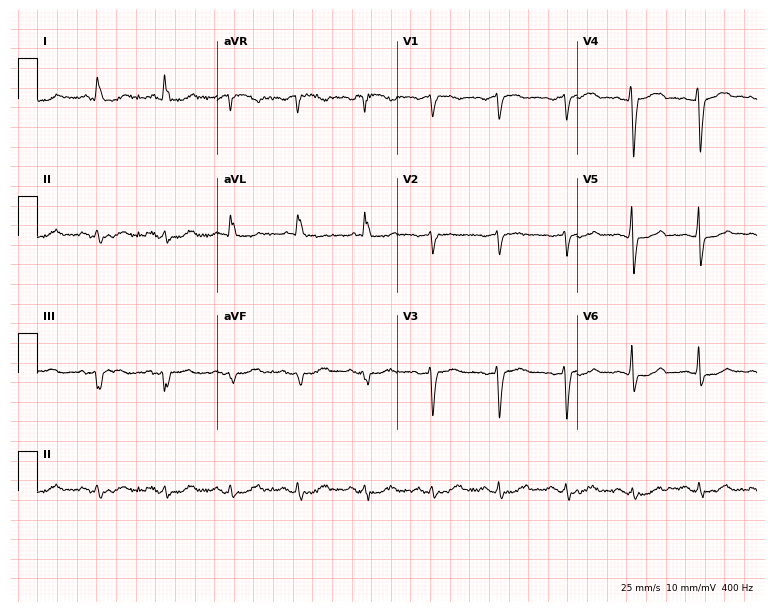
12-lead ECG from a female, 78 years old (7.3-second recording at 400 Hz). No first-degree AV block, right bundle branch block, left bundle branch block, sinus bradycardia, atrial fibrillation or sinus tachycardia recorded for this tracing. Findings outside these six are not listed.